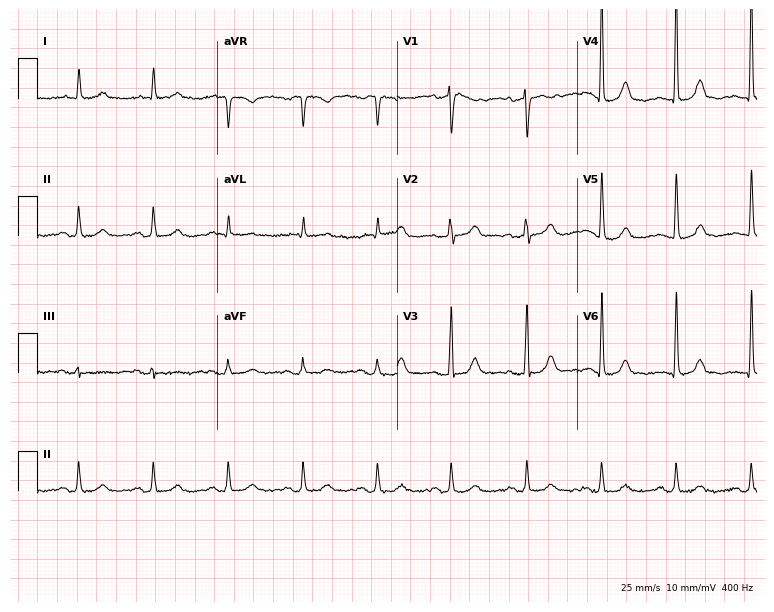
12-lead ECG from a female patient, 77 years old (7.3-second recording at 400 Hz). Recorded interpretation: within normal limits.